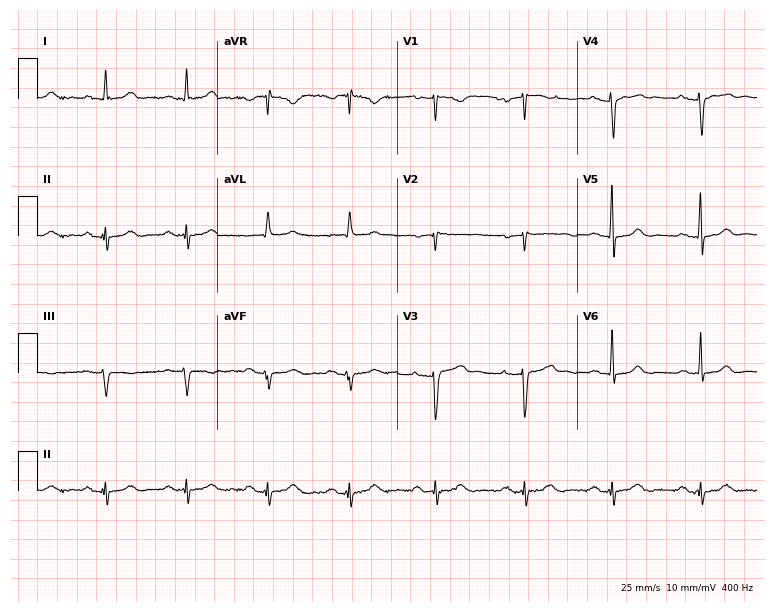
Electrocardiogram, a 48-year-old female. Of the six screened findings (first-degree AV block, right bundle branch block (RBBB), left bundle branch block (LBBB), sinus bradycardia, atrial fibrillation (AF), sinus tachycardia), none is recorded. Only these six findings were labelled.